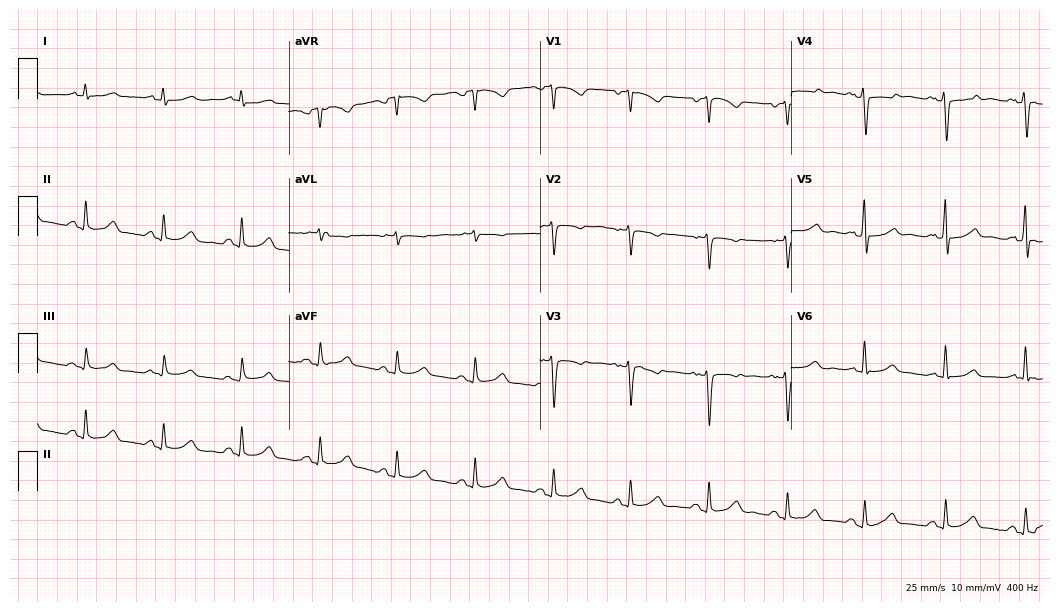
12-lead ECG from a 49-year-old female patient (10.2-second recording at 400 Hz). No first-degree AV block, right bundle branch block, left bundle branch block, sinus bradycardia, atrial fibrillation or sinus tachycardia recorded for this tracing.